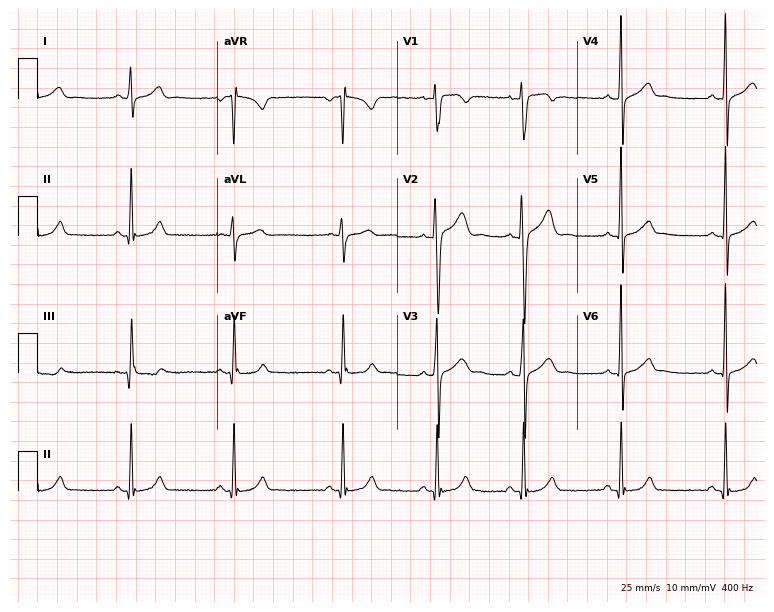
12-lead ECG from a male patient, 19 years old. Labelled as a normal ECG.